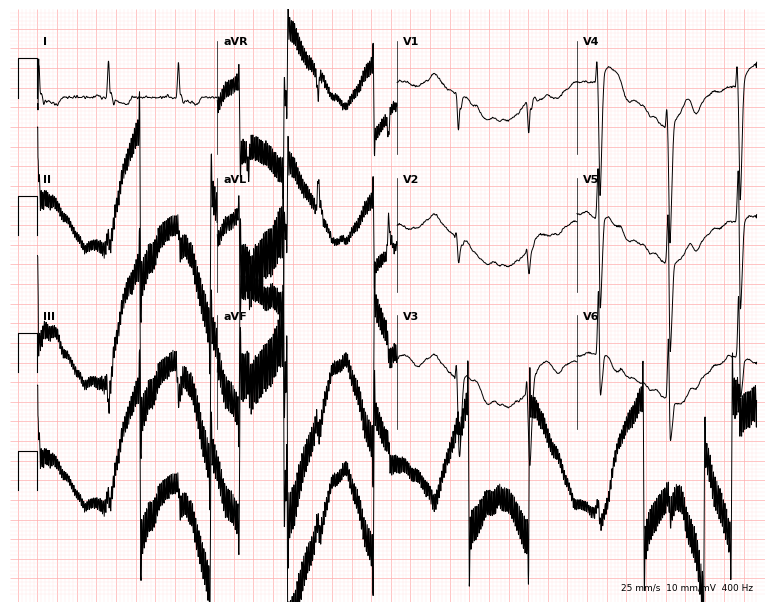
Electrocardiogram (7.3-second recording at 400 Hz), a 67-year-old male. Of the six screened findings (first-degree AV block, right bundle branch block, left bundle branch block, sinus bradycardia, atrial fibrillation, sinus tachycardia), none is recorded.